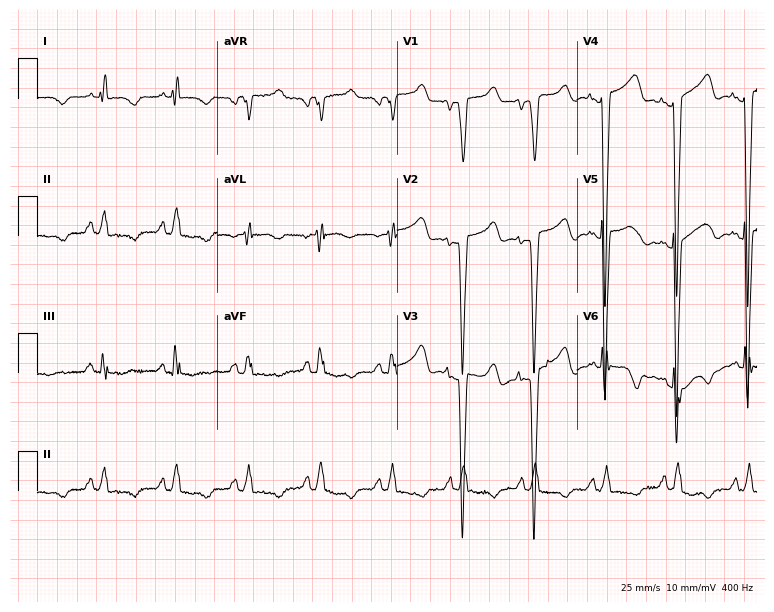
Electrocardiogram (7.3-second recording at 400 Hz), a female, 45 years old. Of the six screened findings (first-degree AV block, right bundle branch block (RBBB), left bundle branch block (LBBB), sinus bradycardia, atrial fibrillation (AF), sinus tachycardia), none is recorded. Findings outside these six are not listed.